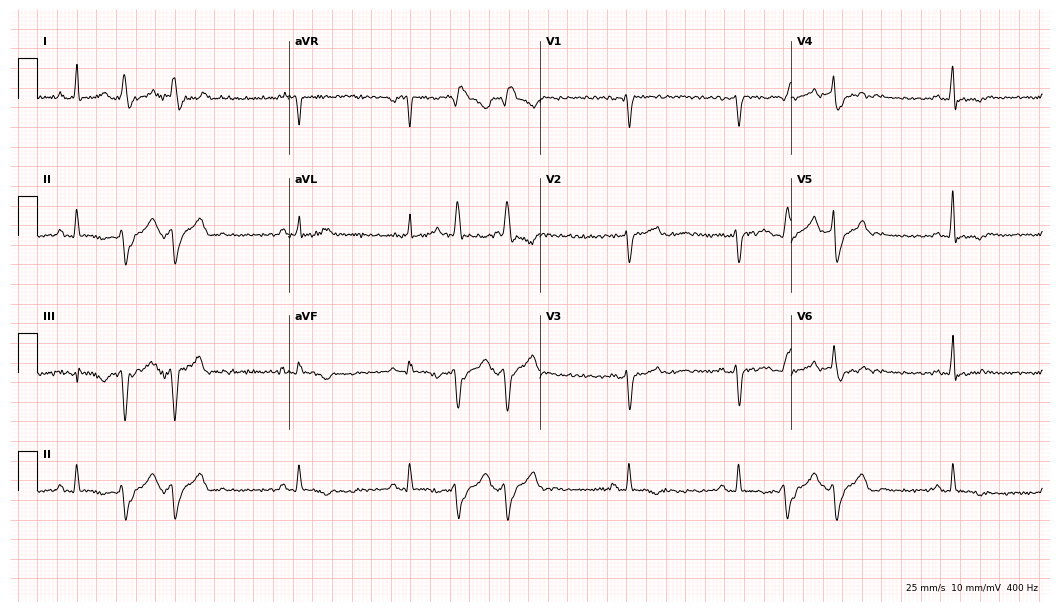
Standard 12-lead ECG recorded from a woman, 46 years old. None of these six findings is recorded: first-degree AV block, right bundle branch block, left bundle branch block, sinus bradycardia, atrial fibrillation, sinus tachycardia.